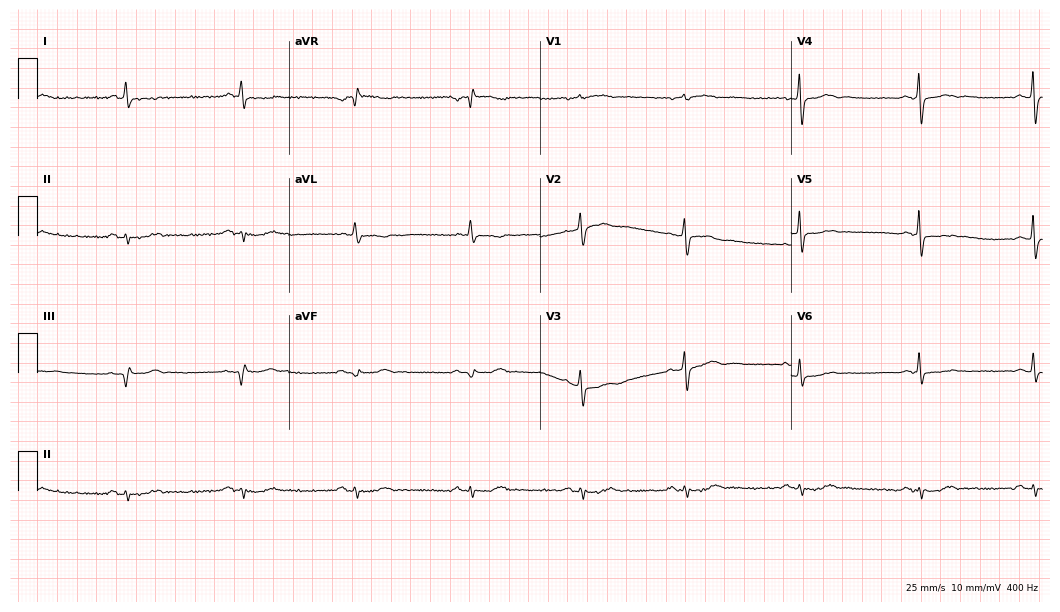
Electrocardiogram (10.2-second recording at 400 Hz), a 75-year-old female patient. Of the six screened findings (first-degree AV block, right bundle branch block, left bundle branch block, sinus bradycardia, atrial fibrillation, sinus tachycardia), none is recorded. Only these six findings were labelled.